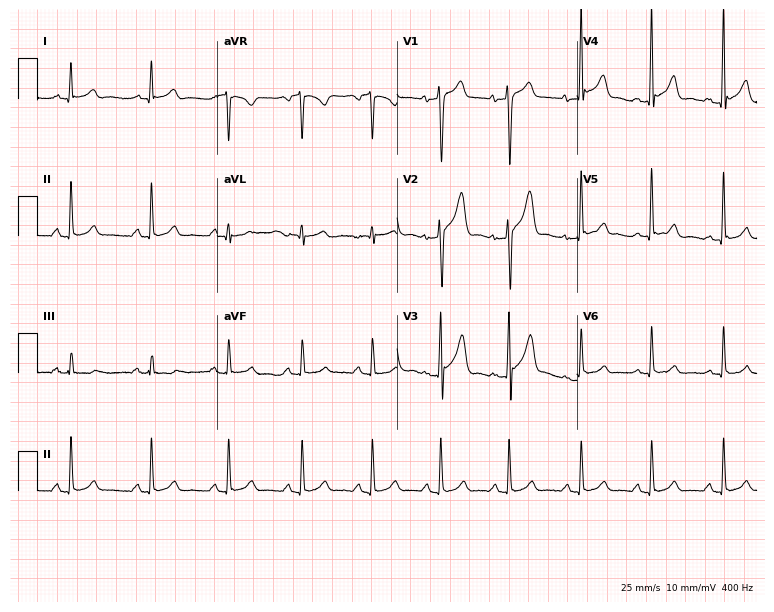
12-lead ECG from a male, 30 years old. Screened for six findings — first-degree AV block, right bundle branch block, left bundle branch block, sinus bradycardia, atrial fibrillation, sinus tachycardia — none is recorded. Findings outside these six are not listed.